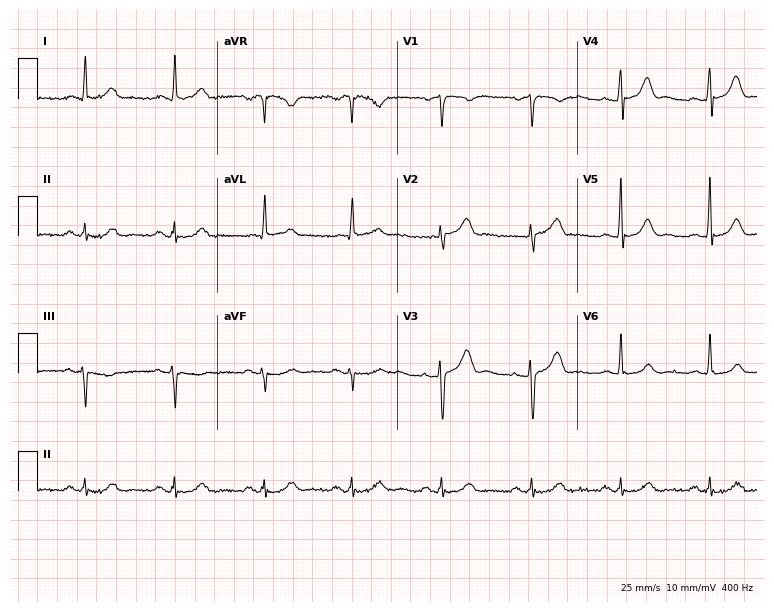
Resting 12-lead electrocardiogram. Patient: a male, 68 years old. Read as a normal ECG.